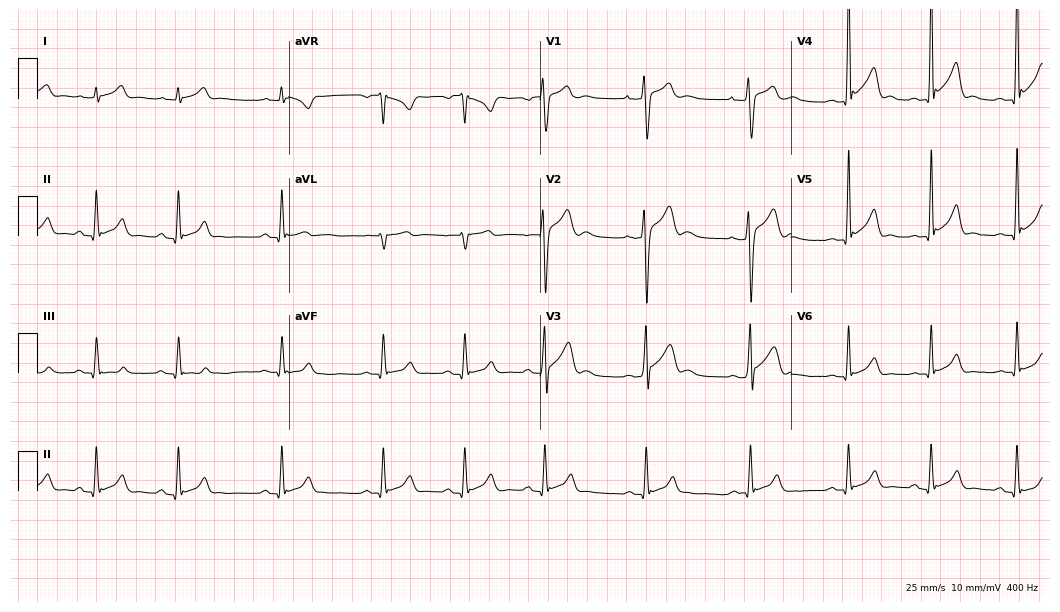
Resting 12-lead electrocardiogram. Patient: an 18-year-old male. None of these six findings is recorded: first-degree AV block, right bundle branch block (RBBB), left bundle branch block (LBBB), sinus bradycardia, atrial fibrillation (AF), sinus tachycardia.